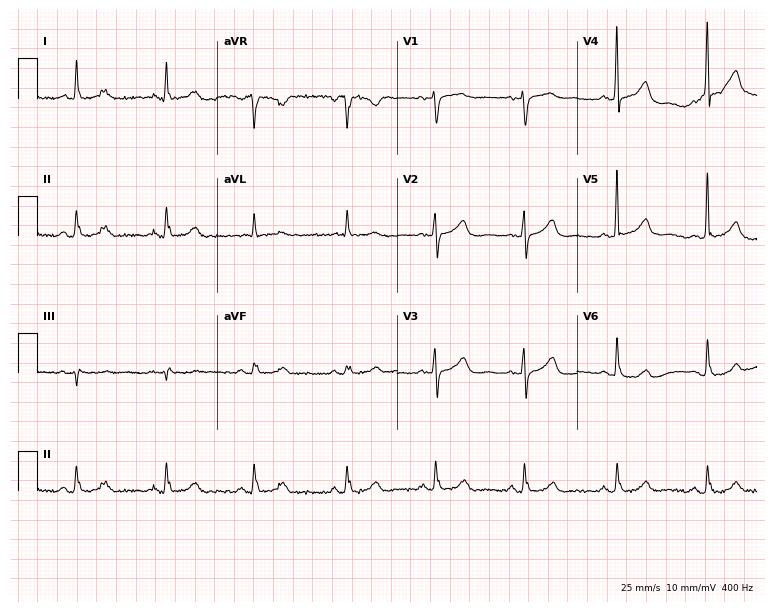
ECG (7.3-second recording at 400 Hz) — a 79-year-old female patient. Labelled as a normal ECG.